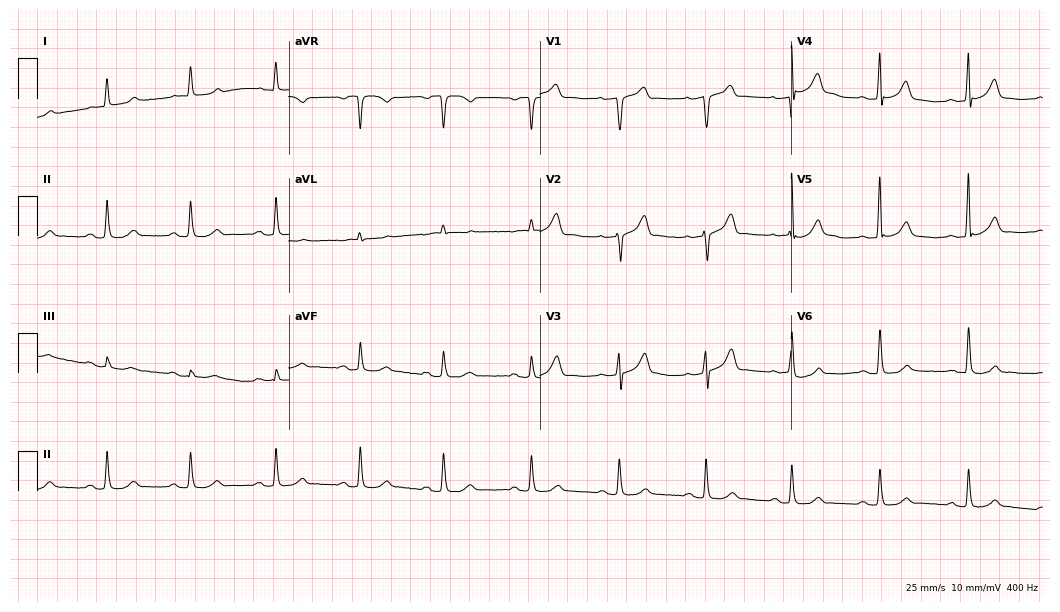
12-lead ECG from a male patient, 70 years old (10.2-second recording at 400 Hz). Recorded interpretation: within normal limits.